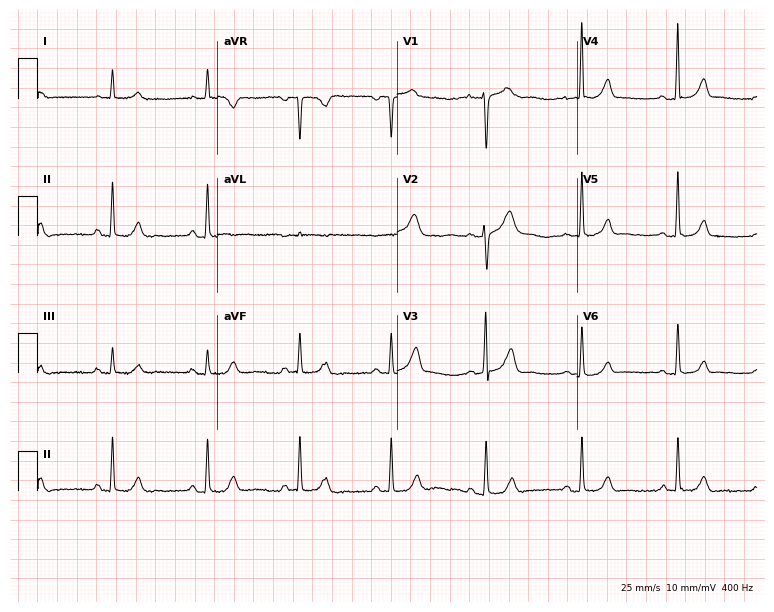
Electrocardiogram (7.3-second recording at 400 Hz), a 71-year-old female. Overall reading on record: normal ECG.